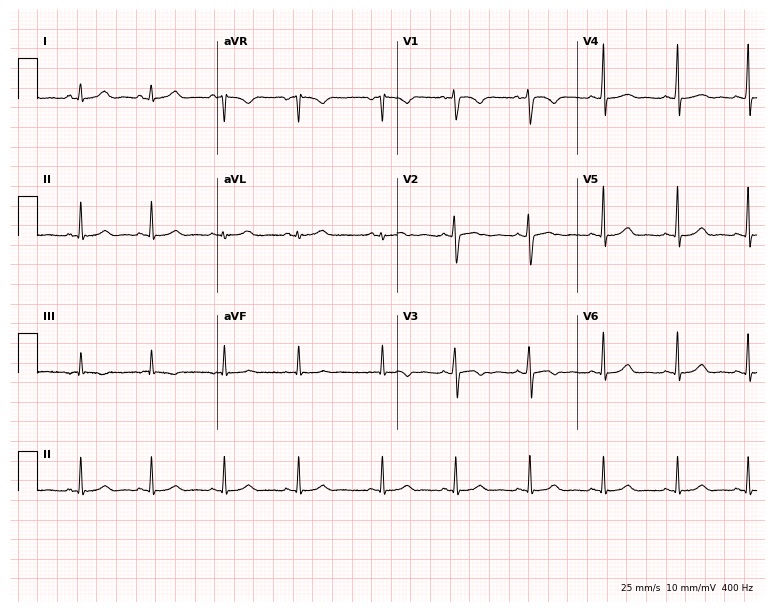
12-lead ECG from a female patient, 28 years old. Recorded interpretation: within normal limits.